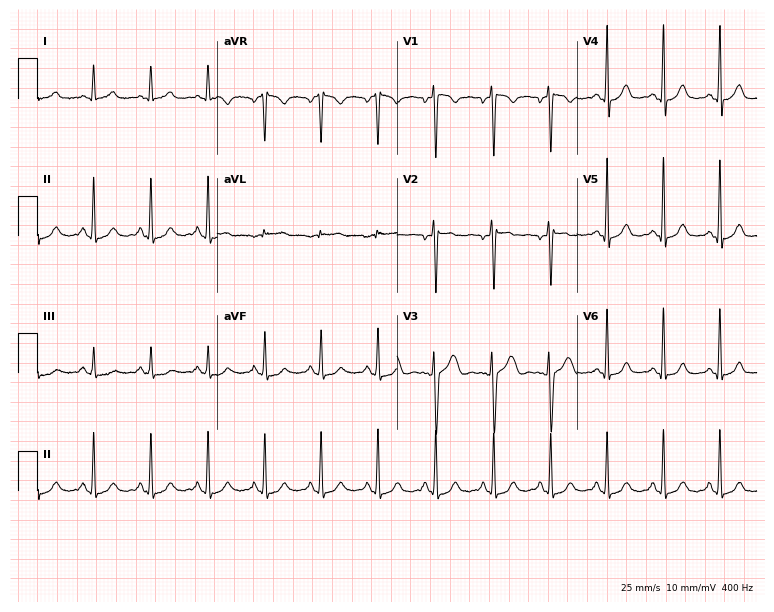
Standard 12-lead ECG recorded from a 36-year-old female (7.3-second recording at 400 Hz). None of these six findings is recorded: first-degree AV block, right bundle branch block, left bundle branch block, sinus bradycardia, atrial fibrillation, sinus tachycardia.